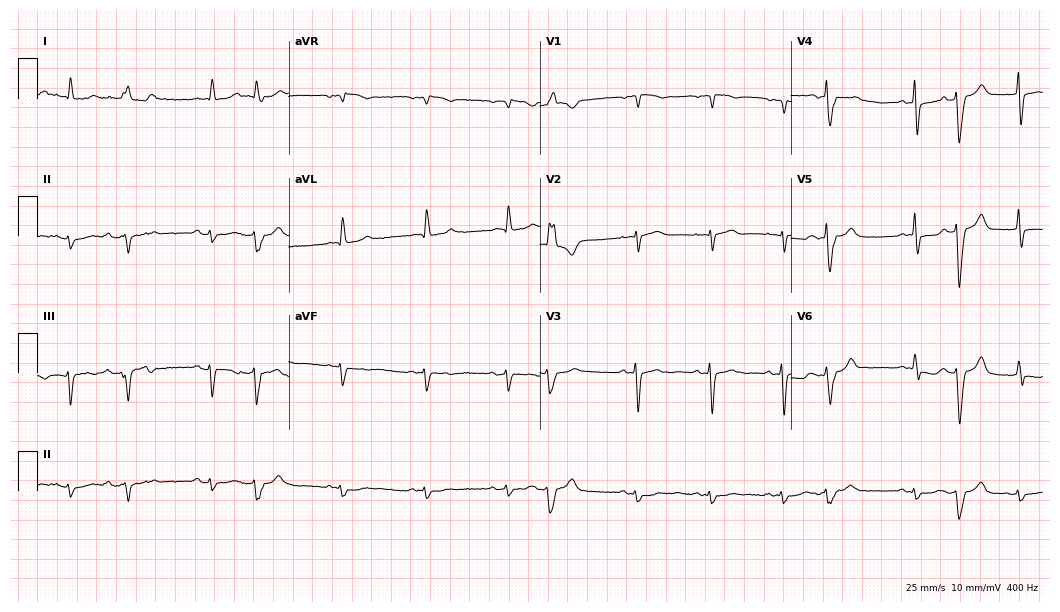
Electrocardiogram (10.2-second recording at 400 Hz), a 76-year-old woman. Of the six screened findings (first-degree AV block, right bundle branch block, left bundle branch block, sinus bradycardia, atrial fibrillation, sinus tachycardia), none is recorded.